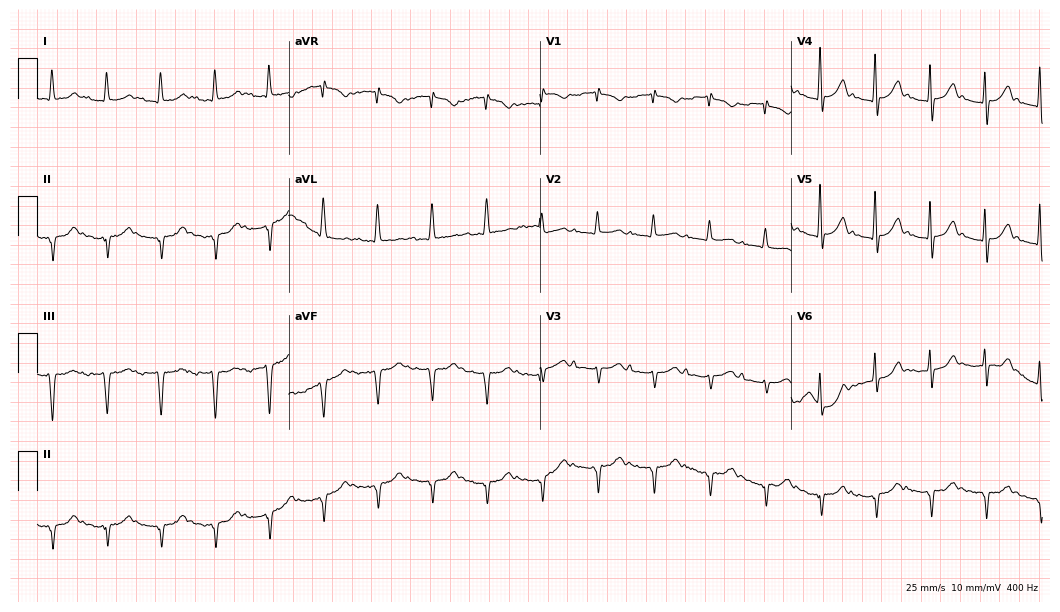
12-lead ECG (10.2-second recording at 400 Hz) from an 83-year-old female. Findings include sinus tachycardia (a sinus rate of 100 beats per minute or more).